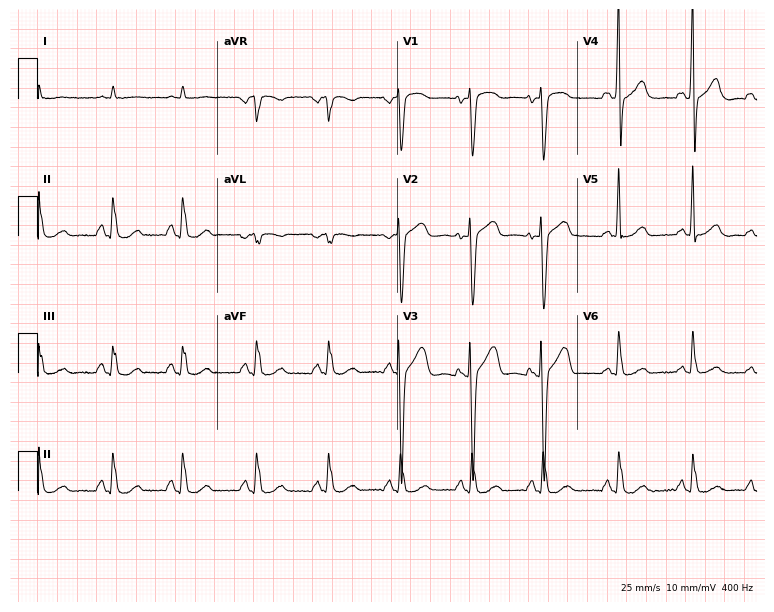
12-lead ECG from a 48-year-old male patient. Labelled as a normal ECG.